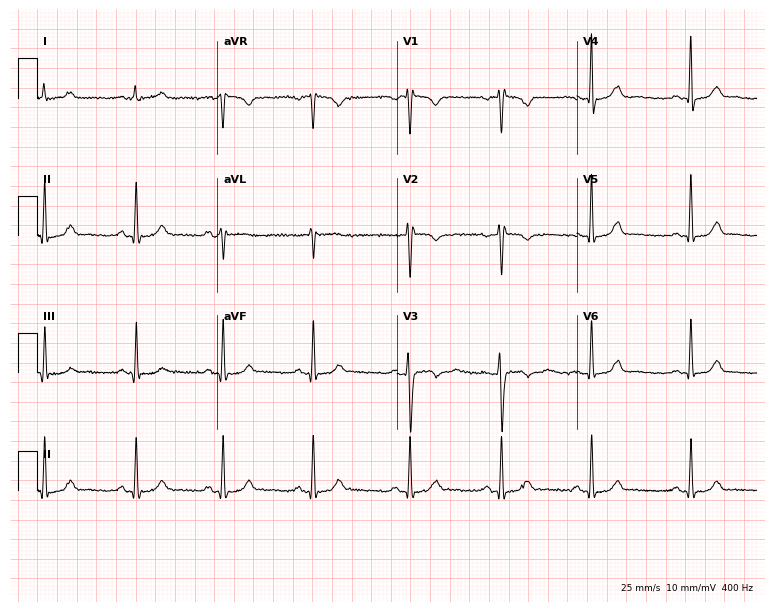
12-lead ECG (7.3-second recording at 400 Hz) from a female, 34 years old. Labelled as a normal ECG.